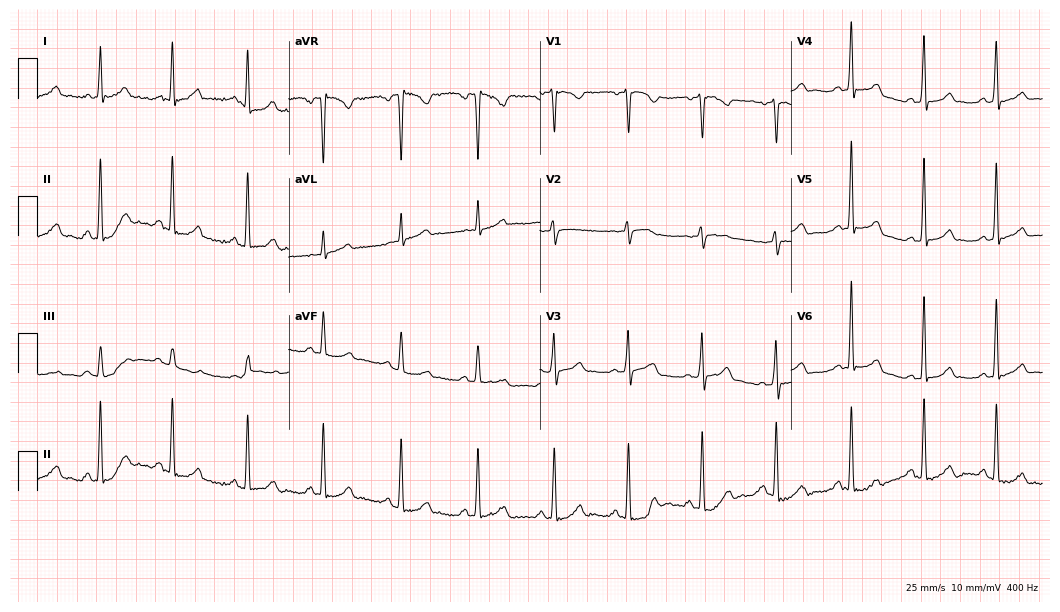
Standard 12-lead ECG recorded from a female patient, 37 years old (10.2-second recording at 400 Hz). None of these six findings is recorded: first-degree AV block, right bundle branch block, left bundle branch block, sinus bradycardia, atrial fibrillation, sinus tachycardia.